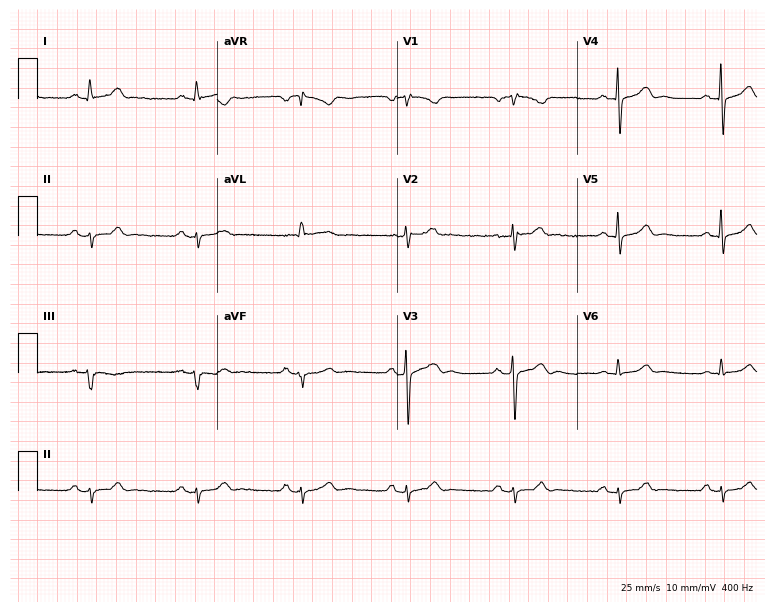
Standard 12-lead ECG recorded from a 66-year-old man. None of these six findings is recorded: first-degree AV block, right bundle branch block (RBBB), left bundle branch block (LBBB), sinus bradycardia, atrial fibrillation (AF), sinus tachycardia. Other findings, if any, are not listed.